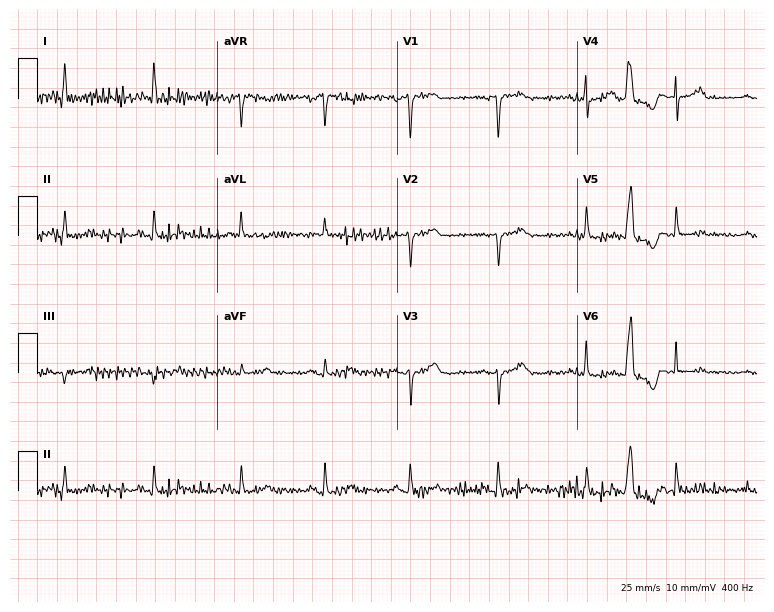
12-lead ECG from a woman, 72 years old. No first-degree AV block, right bundle branch block (RBBB), left bundle branch block (LBBB), sinus bradycardia, atrial fibrillation (AF) or sinus tachycardia recorded for this tracing. Other findings, if any, are not listed.